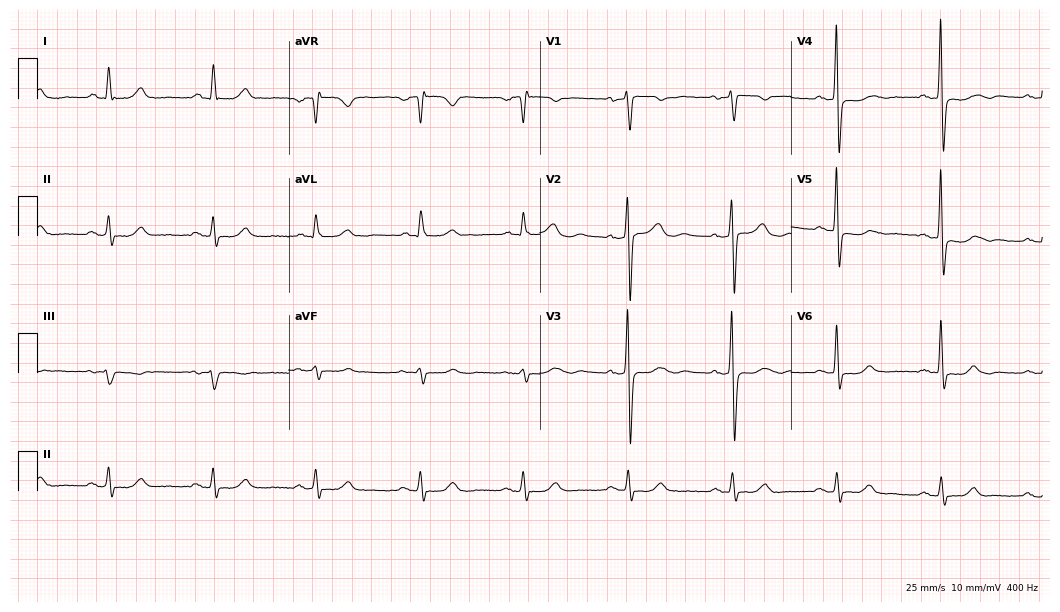
Standard 12-lead ECG recorded from a female patient, 57 years old (10.2-second recording at 400 Hz). None of these six findings is recorded: first-degree AV block, right bundle branch block, left bundle branch block, sinus bradycardia, atrial fibrillation, sinus tachycardia. Findings outside these six are not listed.